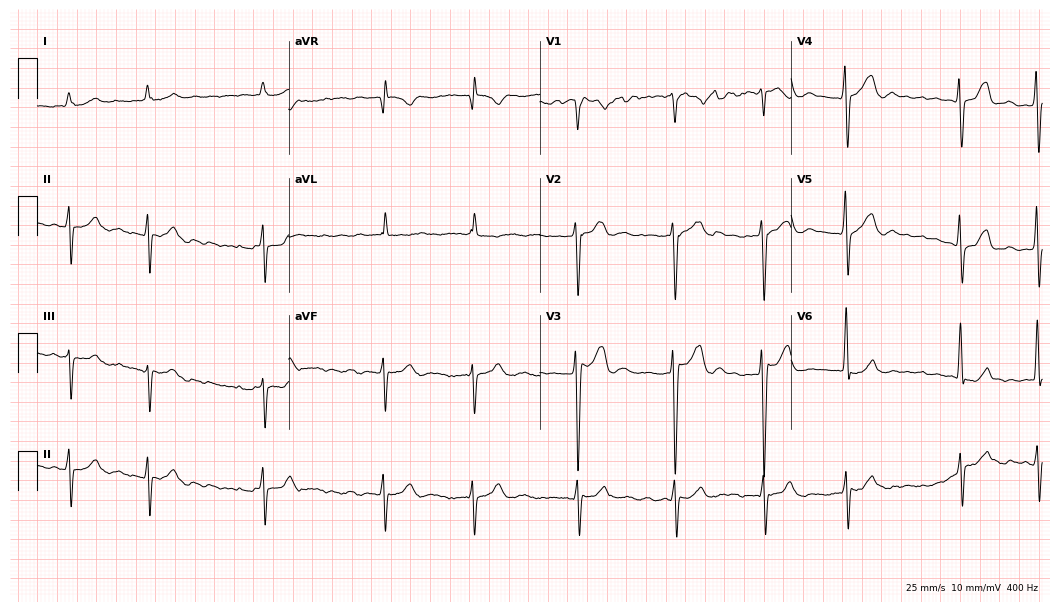
ECG (10.2-second recording at 400 Hz) — a 50-year-old male. Findings include atrial fibrillation (AF).